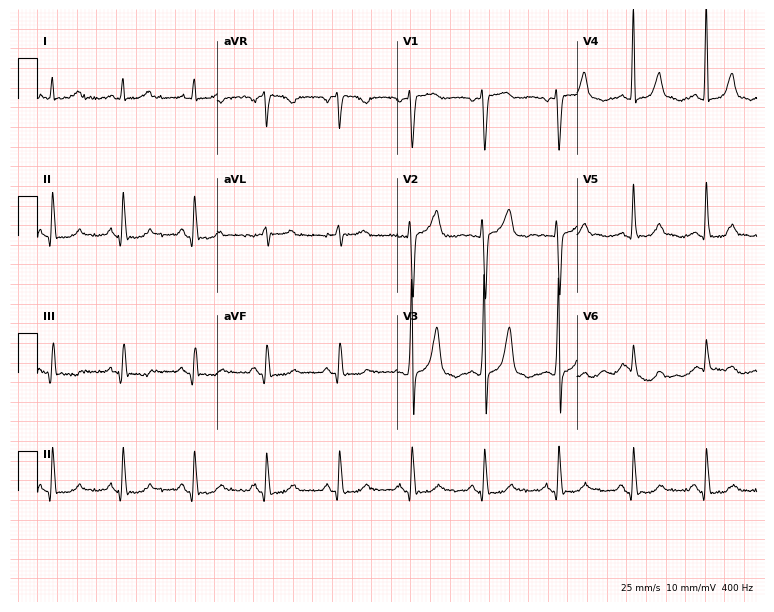
12-lead ECG from a 64-year-old male (7.3-second recording at 400 Hz). No first-degree AV block, right bundle branch block (RBBB), left bundle branch block (LBBB), sinus bradycardia, atrial fibrillation (AF) or sinus tachycardia recorded for this tracing. Other findings, if any, are not listed.